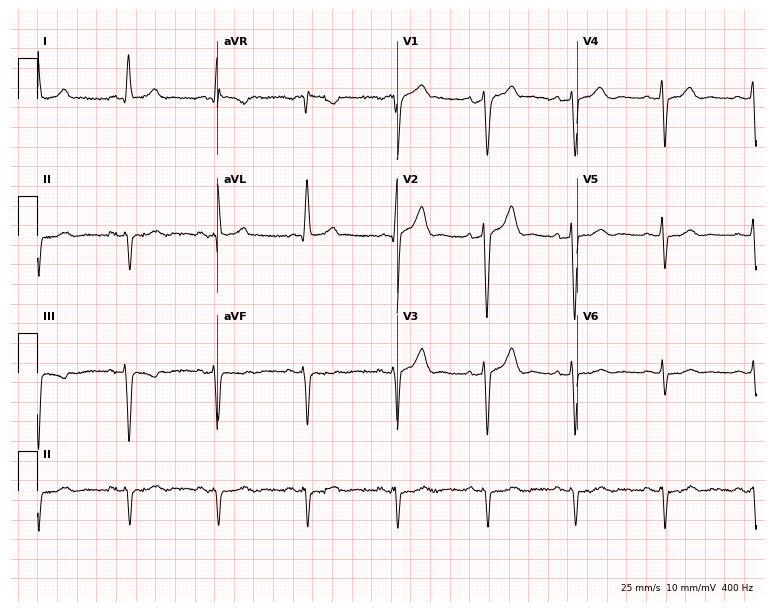
Standard 12-lead ECG recorded from a male, 60 years old (7.3-second recording at 400 Hz). None of these six findings is recorded: first-degree AV block, right bundle branch block, left bundle branch block, sinus bradycardia, atrial fibrillation, sinus tachycardia. Other findings, if any, are not listed.